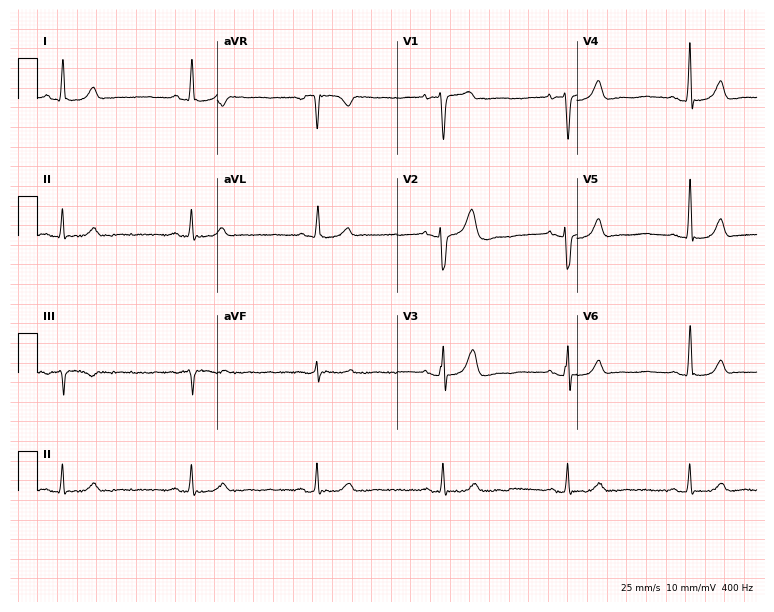
12-lead ECG (7.3-second recording at 400 Hz) from a 51-year-old woman. Findings include sinus bradycardia (a sinus rate of 50 beats per minute or less).